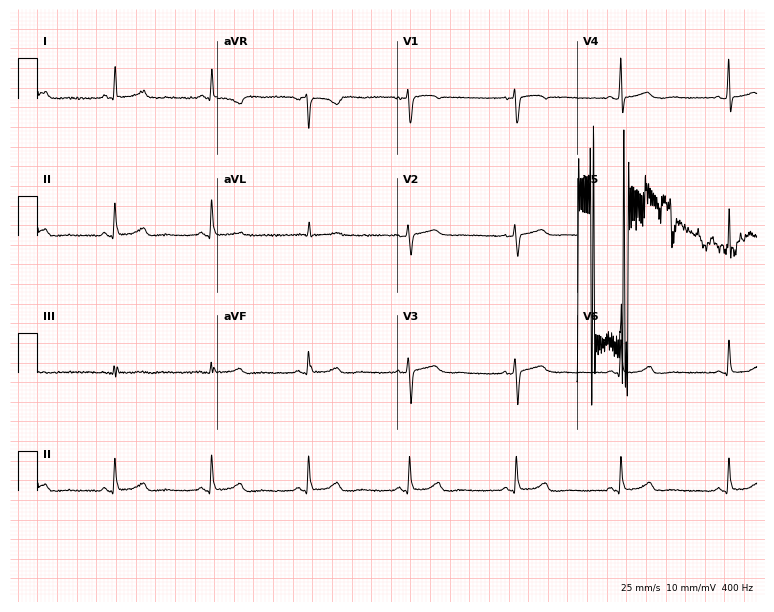
Standard 12-lead ECG recorded from a female patient, 53 years old (7.3-second recording at 400 Hz). None of these six findings is recorded: first-degree AV block, right bundle branch block, left bundle branch block, sinus bradycardia, atrial fibrillation, sinus tachycardia.